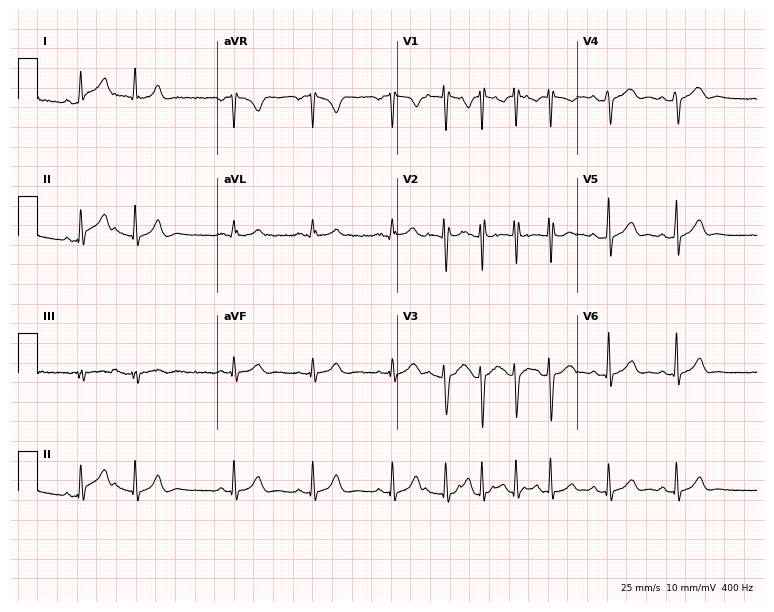
Electrocardiogram, a male, 32 years old. Overall reading on record: normal ECG.